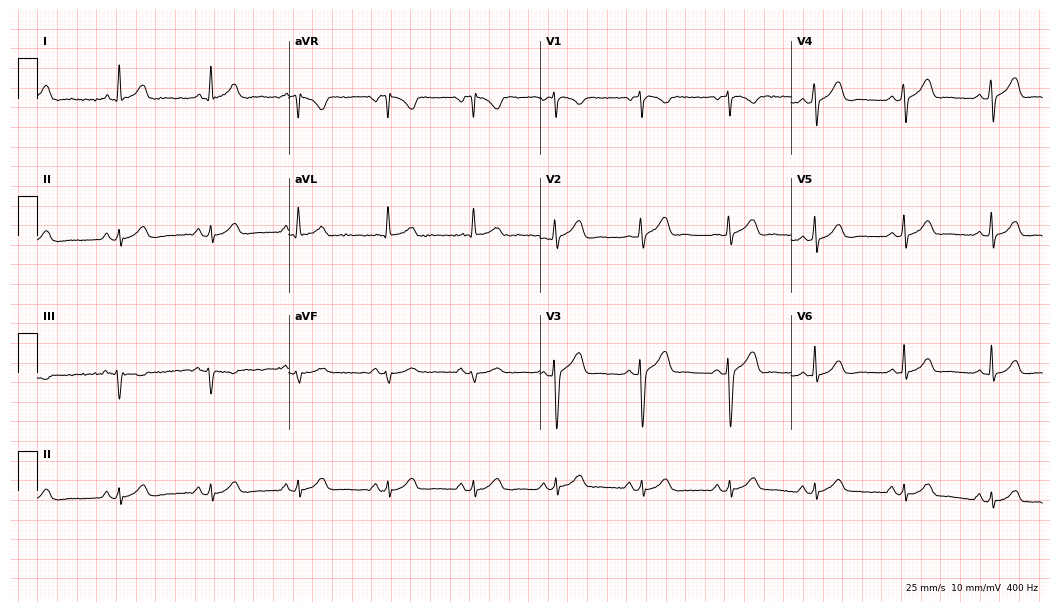
Resting 12-lead electrocardiogram. Patient: a 27-year-old female. Read as a normal ECG.